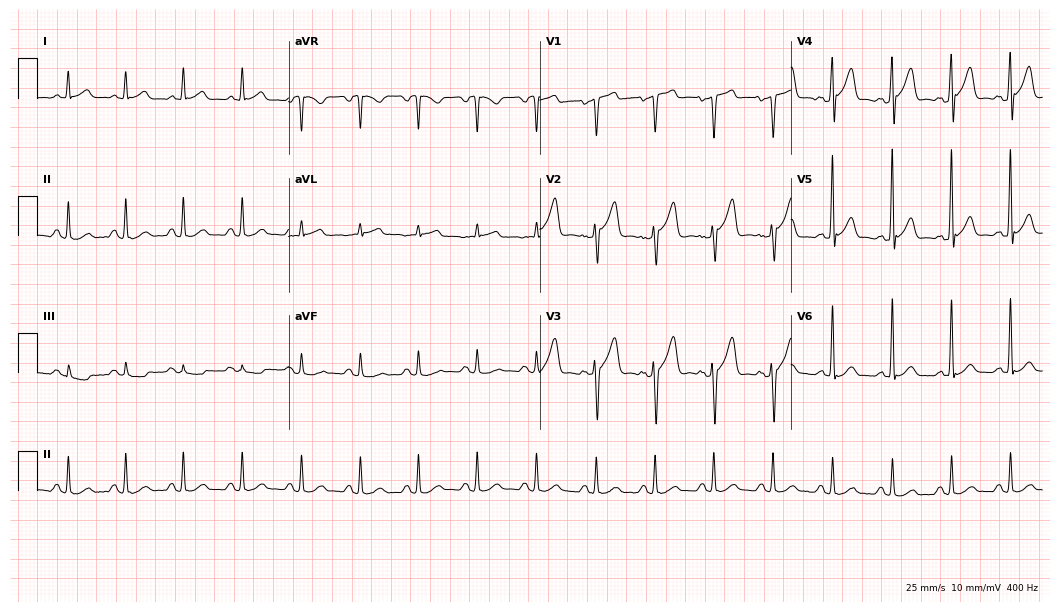
Standard 12-lead ECG recorded from a 62-year-old male patient (10.2-second recording at 400 Hz). The tracing shows sinus tachycardia (a sinus rate of 100 beats per minute or more).